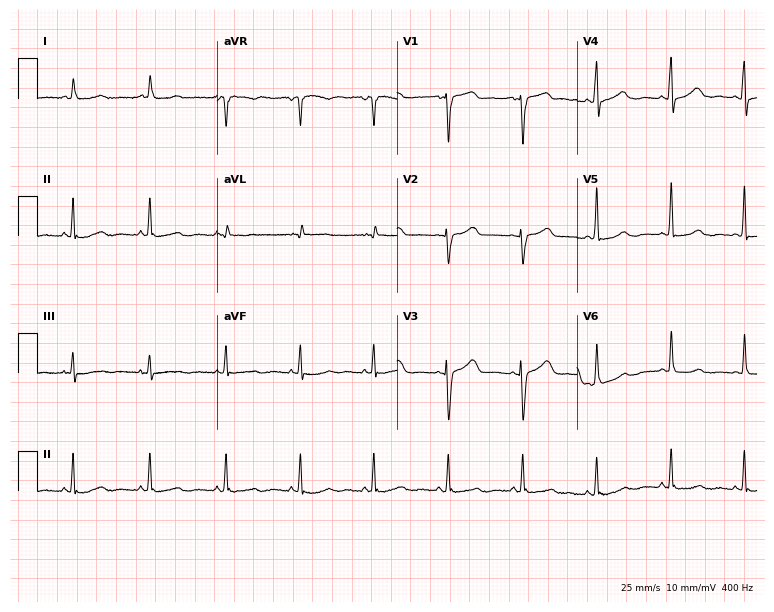
12-lead ECG from a female, 65 years old (7.3-second recording at 400 Hz). Recorded interpretation: within normal limits.